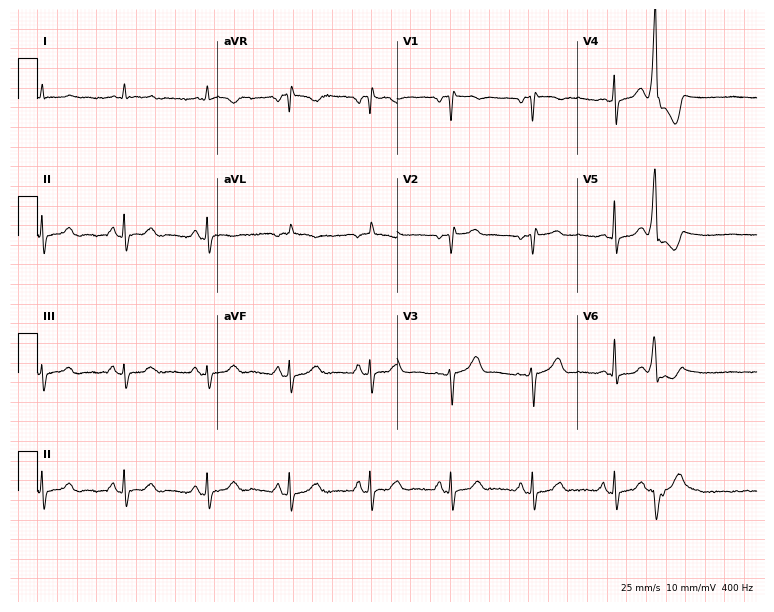
12-lead ECG (7.3-second recording at 400 Hz) from a man, 71 years old. Labelled as a normal ECG.